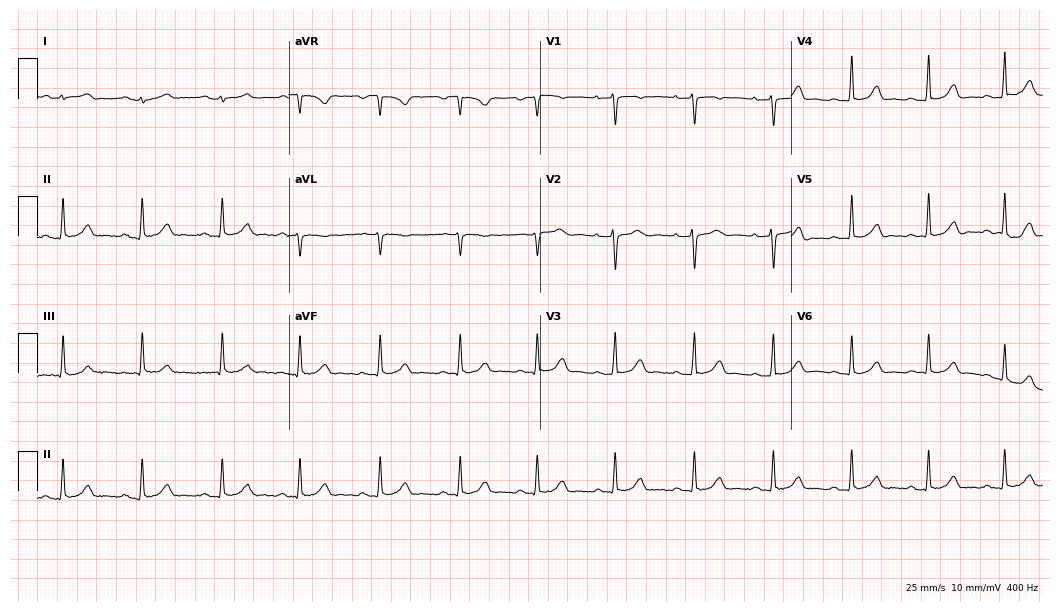
ECG — a woman, 24 years old. Labelled as a normal ECG.